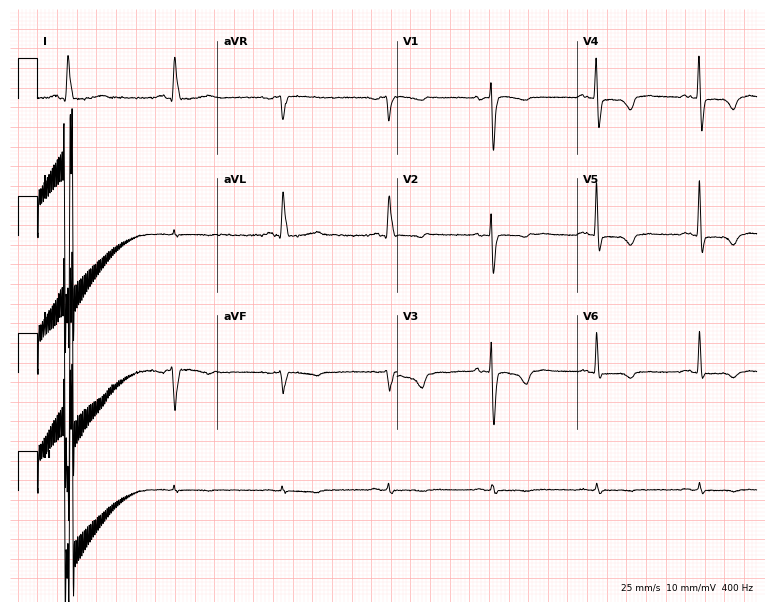
12-lead ECG from a female patient, 83 years old. Screened for six findings — first-degree AV block, right bundle branch block, left bundle branch block, sinus bradycardia, atrial fibrillation, sinus tachycardia — none is recorded.